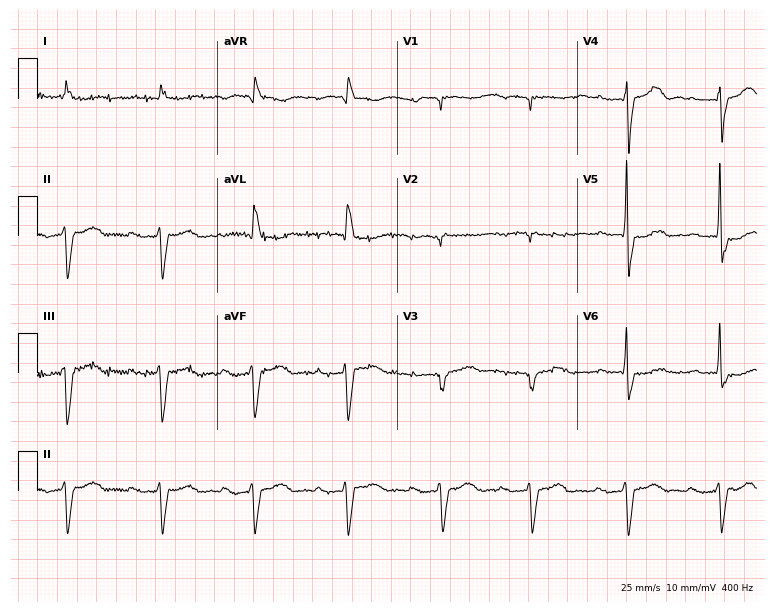
Resting 12-lead electrocardiogram (7.3-second recording at 400 Hz). Patient: an 82-year-old male. None of these six findings is recorded: first-degree AV block, right bundle branch block, left bundle branch block, sinus bradycardia, atrial fibrillation, sinus tachycardia.